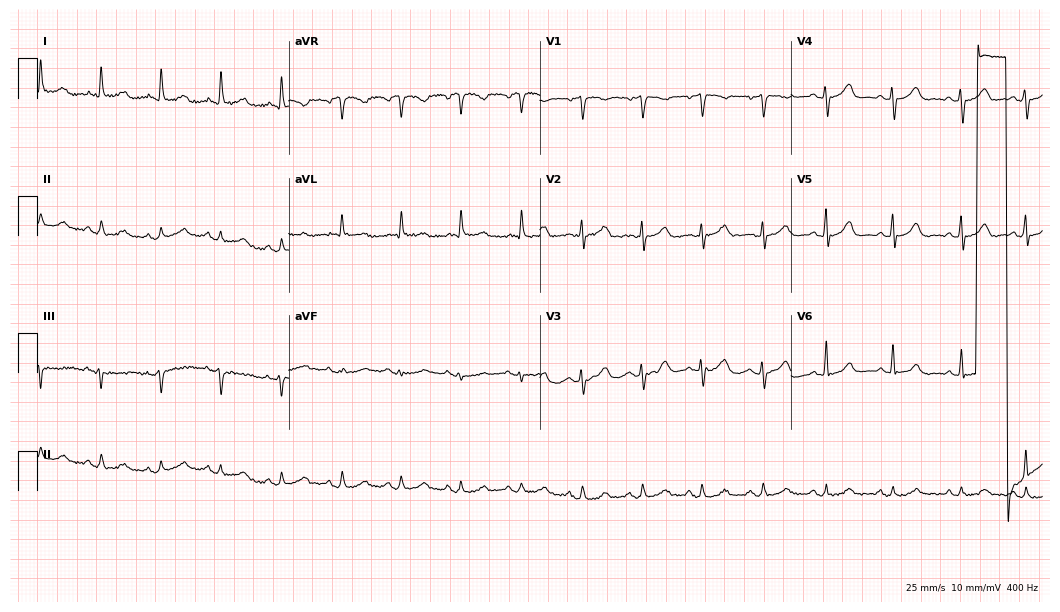
12-lead ECG from a 76-year-old woman. No first-degree AV block, right bundle branch block (RBBB), left bundle branch block (LBBB), sinus bradycardia, atrial fibrillation (AF) or sinus tachycardia recorded for this tracing. Other findings, if any, are not listed.